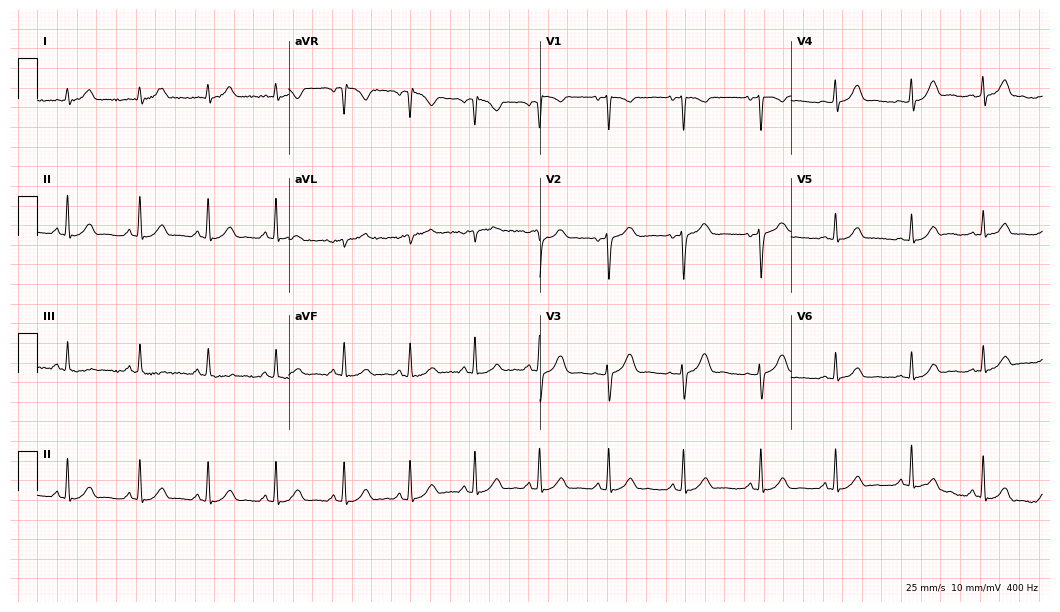
12-lead ECG from an 18-year-old woman. No first-degree AV block, right bundle branch block (RBBB), left bundle branch block (LBBB), sinus bradycardia, atrial fibrillation (AF) or sinus tachycardia recorded for this tracing.